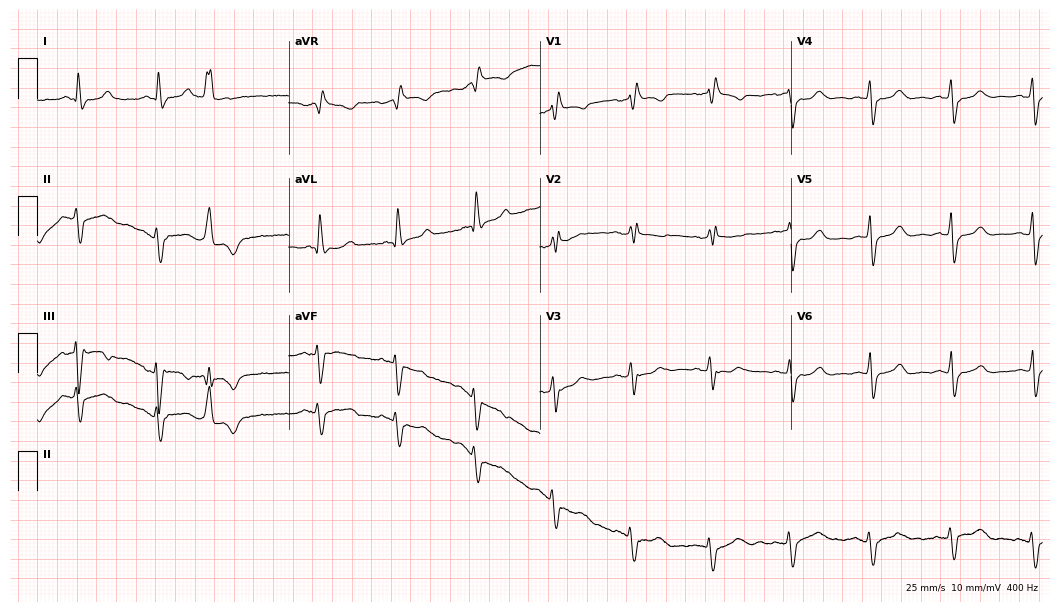
ECG (10.2-second recording at 400 Hz) — a female, 76 years old. Findings include right bundle branch block (RBBB).